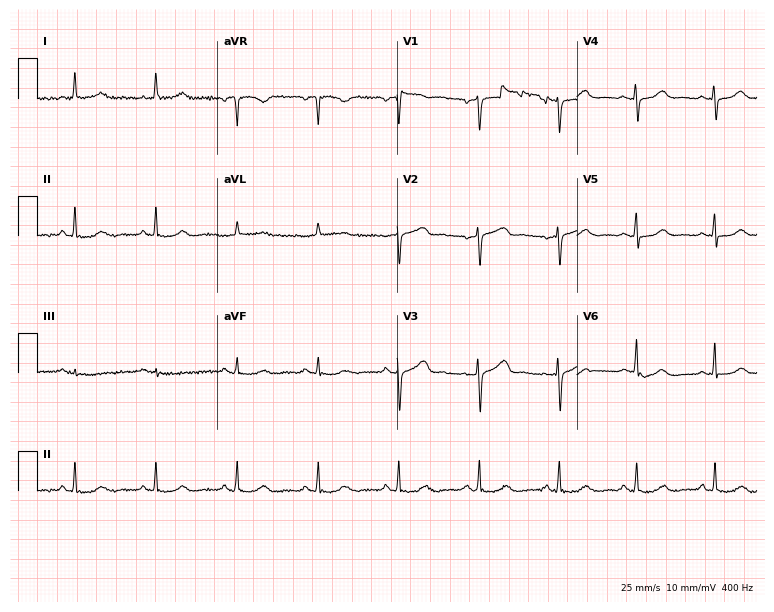
Electrocardiogram (7.3-second recording at 400 Hz), a 56-year-old female. Overall reading on record: normal ECG.